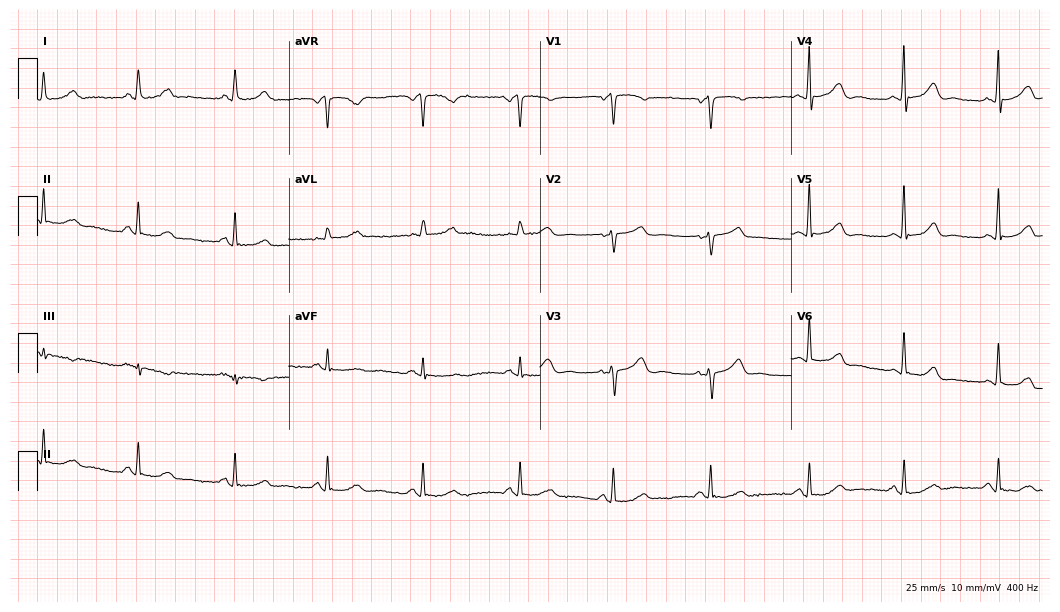
12-lead ECG from a female patient, 53 years old (10.2-second recording at 400 Hz). No first-degree AV block, right bundle branch block (RBBB), left bundle branch block (LBBB), sinus bradycardia, atrial fibrillation (AF) or sinus tachycardia recorded for this tracing. Only these six findings were labelled.